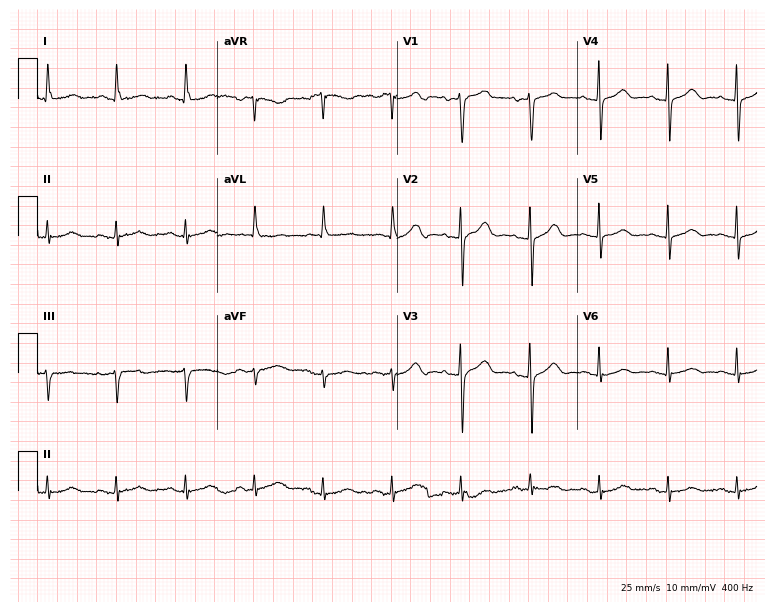
Standard 12-lead ECG recorded from a female, 71 years old. Read as a normal ECG.